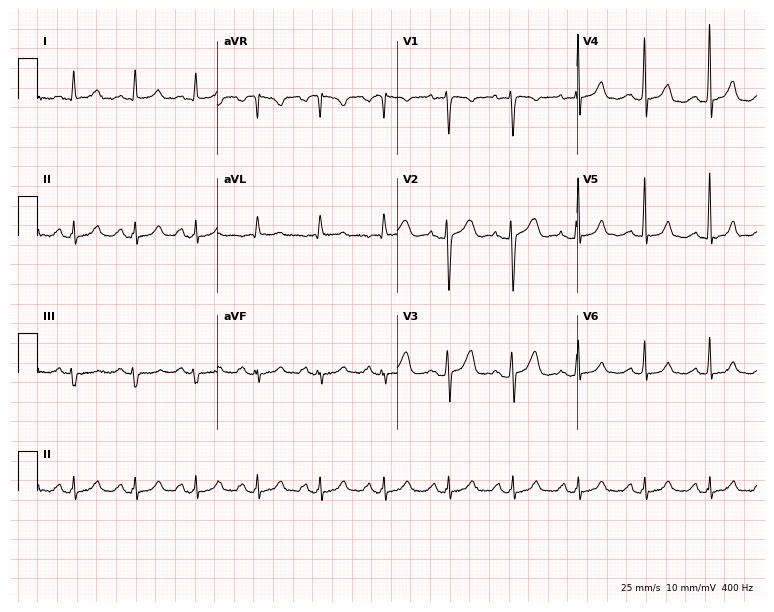
Electrocardiogram, a woman, 44 years old. Of the six screened findings (first-degree AV block, right bundle branch block, left bundle branch block, sinus bradycardia, atrial fibrillation, sinus tachycardia), none is recorded. Only these six findings were labelled.